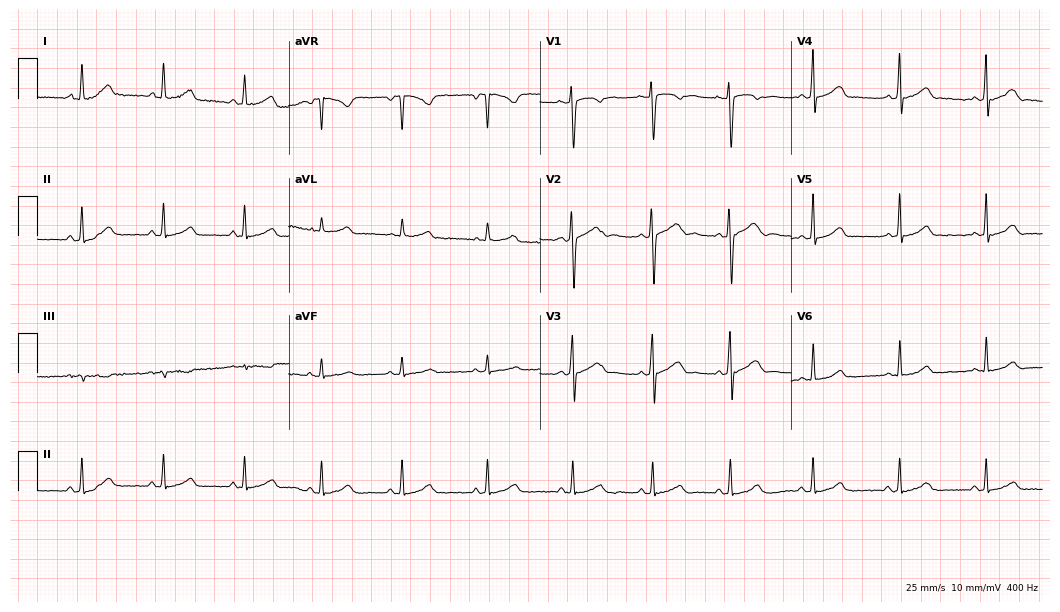
Electrocardiogram (10.2-second recording at 400 Hz), a woman, 19 years old. Overall reading on record: normal ECG.